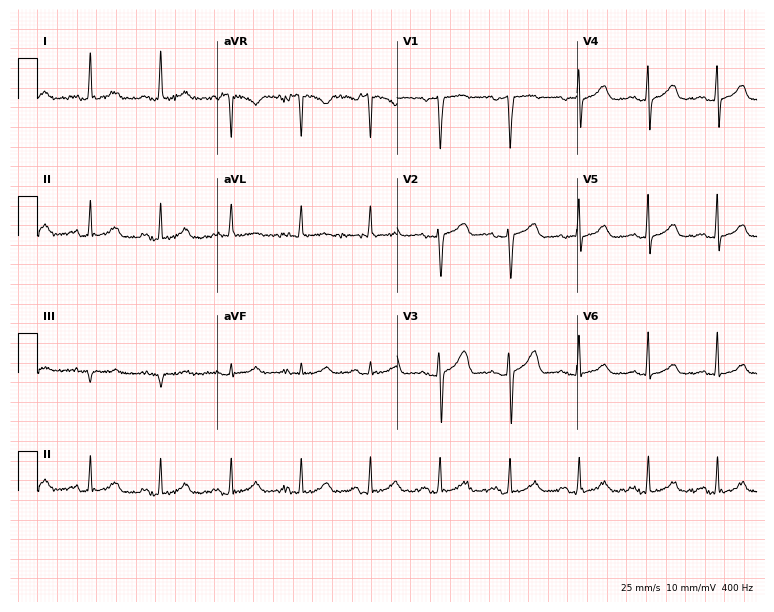
12-lead ECG from a 55-year-old female. Recorded interpretation: within normal limits.